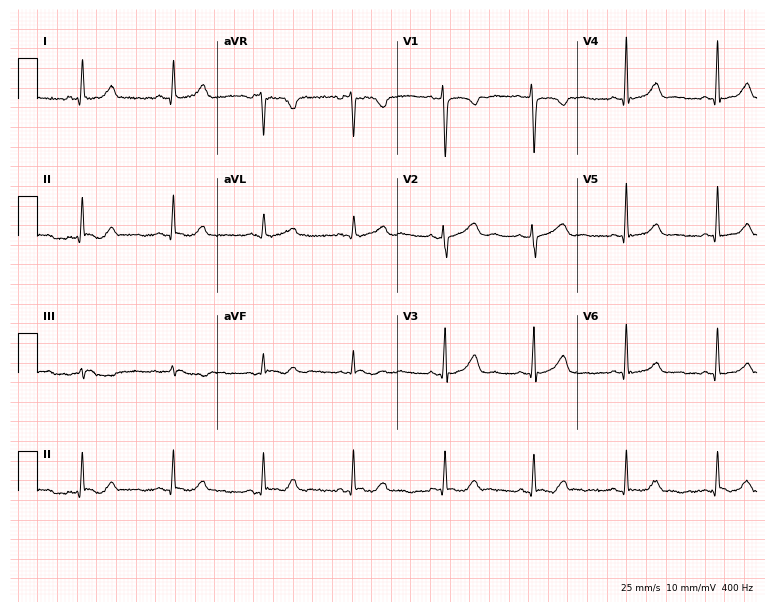
Electrocardiogram (7.3-second recording at 400 Hz), a woman, 31 years old. Of the six screened findings (first-degree AV block, right bundle branch block (RBBB), left bundle branch block (LBBB), sinus bradycardia, atrial fibrillation (AF), sinus tachycardia), none is recorded.